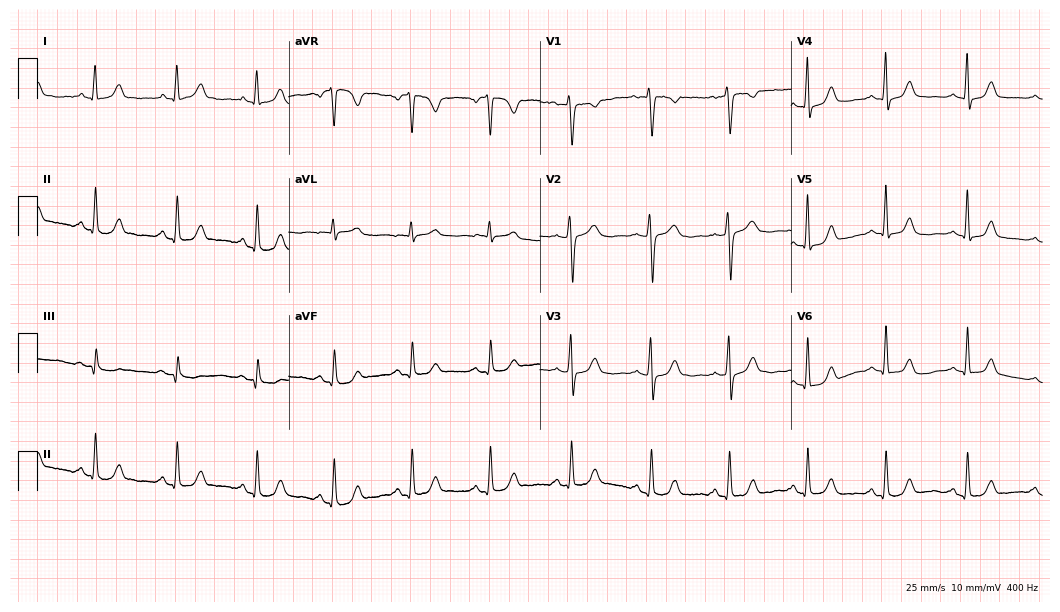
Electrocardiogram (10.2-second recording at 400 Hz), a 62-year-old female. Overall reading on record: normal ECG.